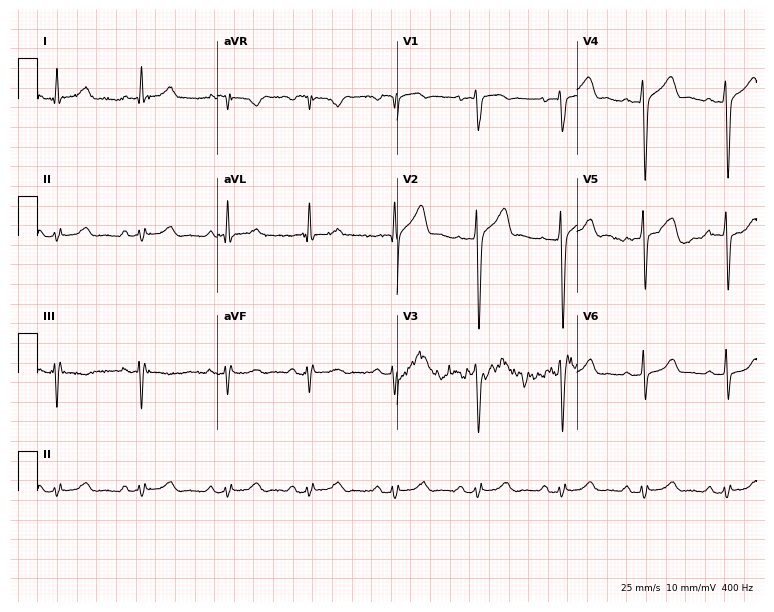
Resting 12-lead electrocardiogram. Patient: a man, 47 years old. Read as a normal ECG.